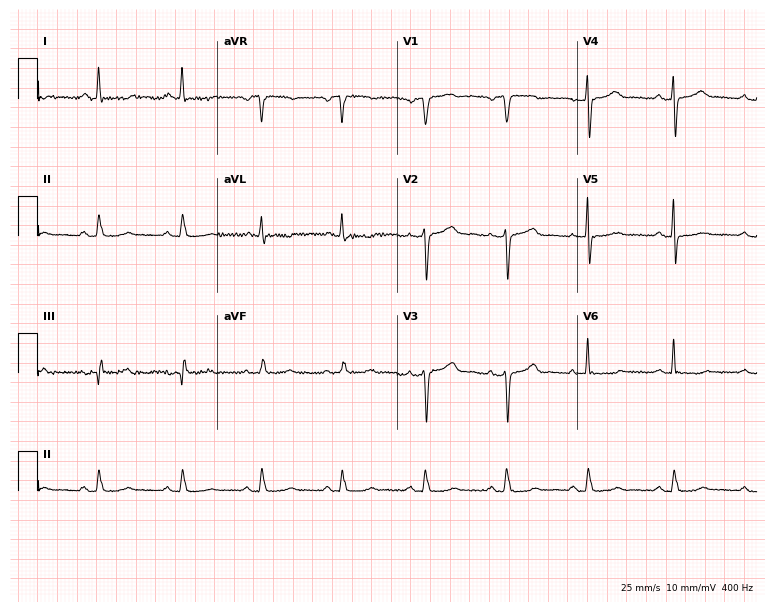
12-lead ECG (7.3-second recording at 400 Hz) from a woman, 56 years old. Screened for six findings — first-degree AV block, right bundle branch block, left bundle branch block, sinus bradycardia, atrial fibrillation, sinus tachycardia — none is recorded.